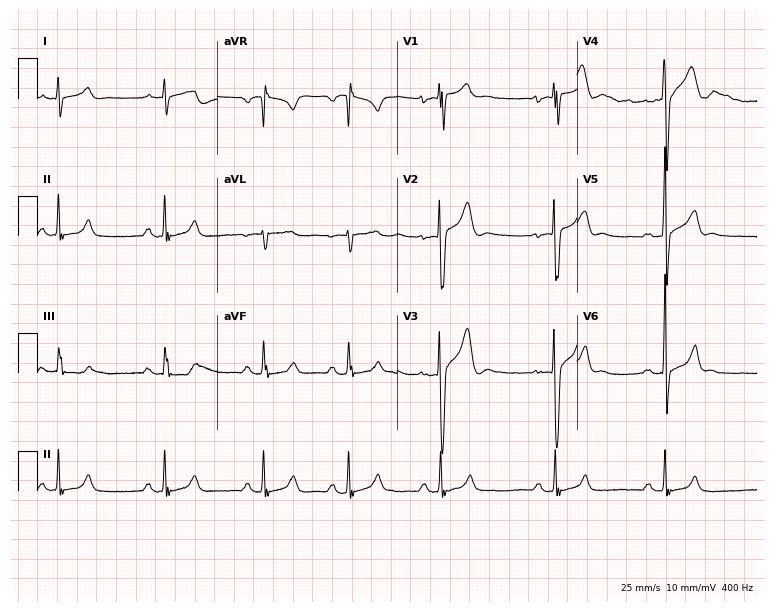
Electrocardiogram (7.3-second recording at 400 Hz), an 18-year-old male patient. Overall reading on record: normal ECG.